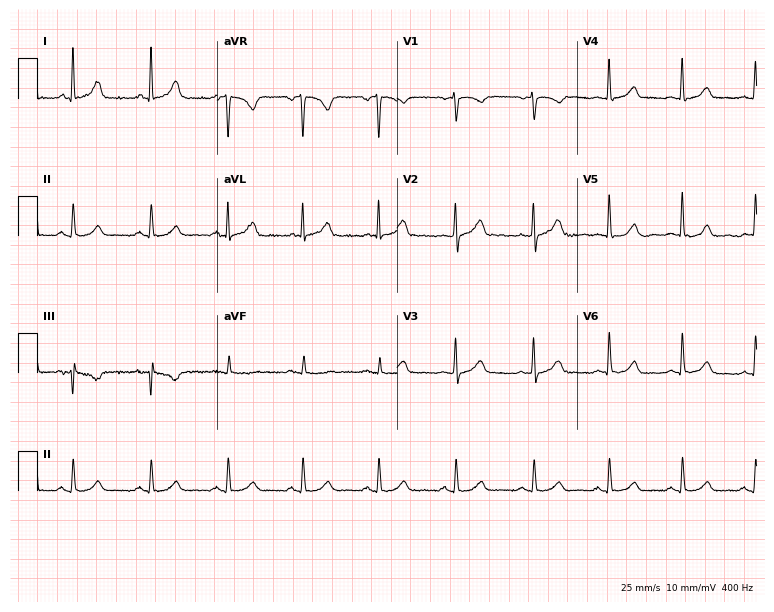
ECG (7.3-second recording at 400 Hz) — a 44-year-old female. Labelled as a normal ECG.